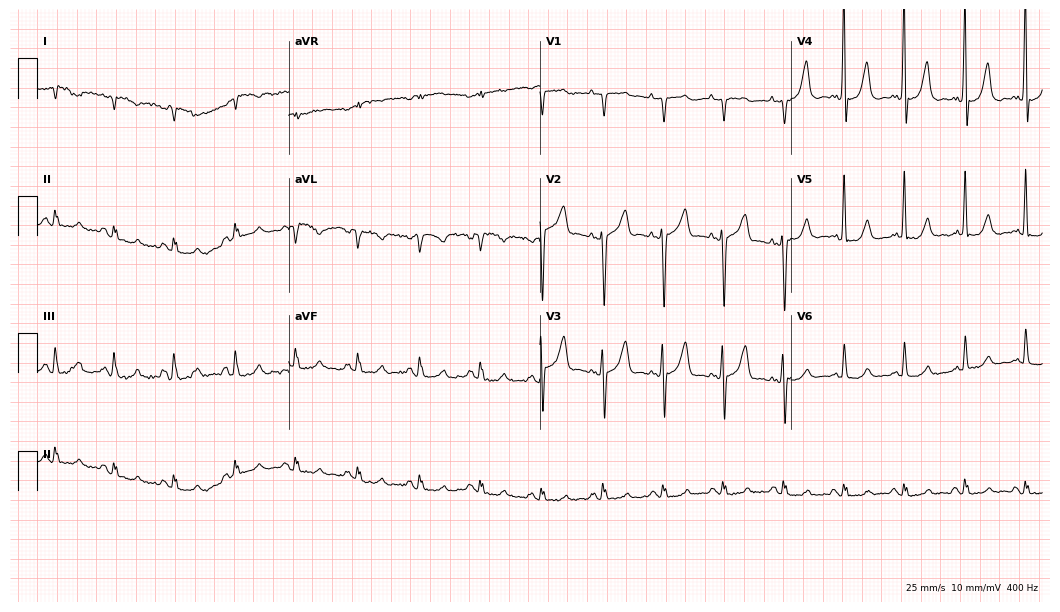
Standard 12-lead ECG recorded from an 84-year-old female patient. None of these six findings is recorded: first-degree AV block, right bundle branch block, left bundle branch block, sinus bradycardia, atrial fibrillation, sinus tachycardia. Only these six findings were labelled.